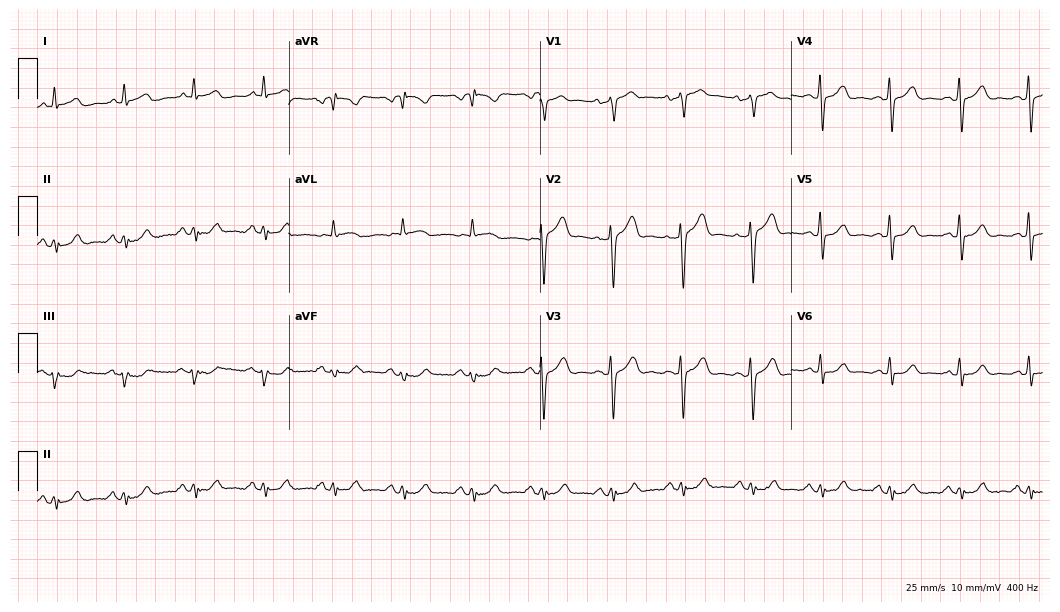
12-lead ECG (10.2-second recording at 400 Hz) from a man, 45 years old. Labelled as a normal ECG.